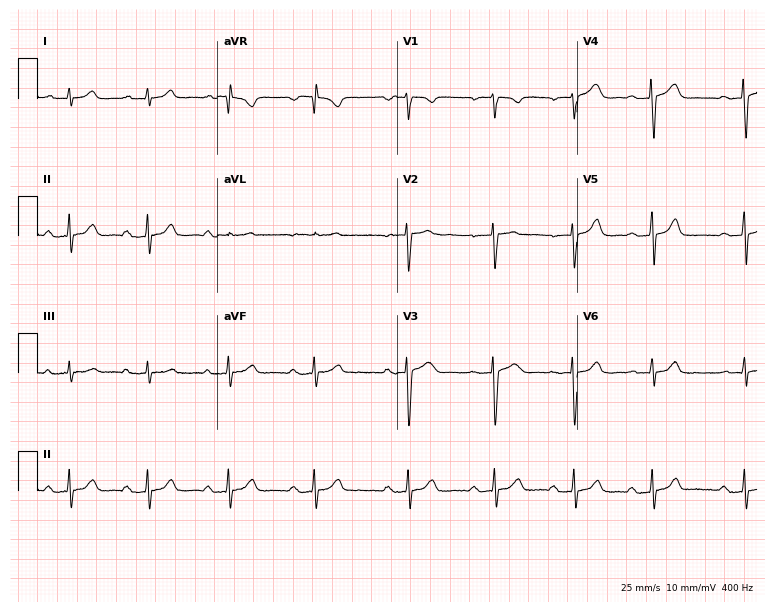
Resting 12-lead electrocardiogram. Patient: a female, 34 years old. Read as a normal ECG.